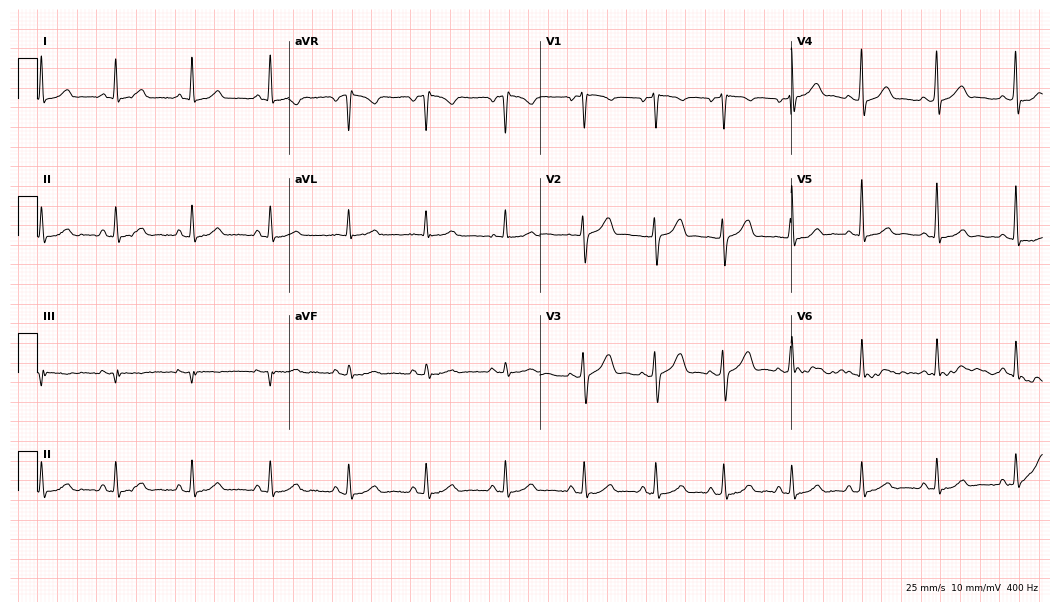
12-lead ECG from a 34-year-old male (10.2-second recording at 400 Hz). No first-degree AV block, right bundle branch block (RBBB), left bundle branch block (LBBB), sinus bradycardia, atrial fibrillation (AF) or sinus tachycardia recorded for this tracing.